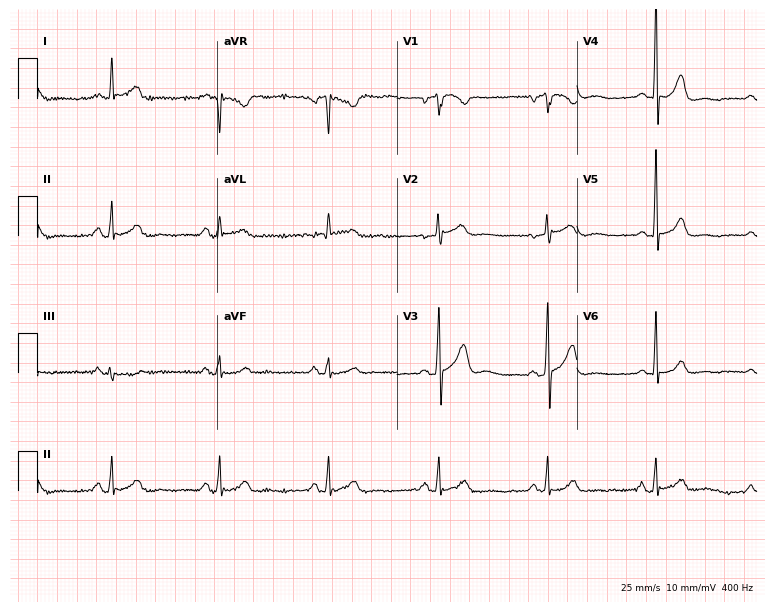
Resting 12-lead electrocardiogram. Patient: a 70-year-old man. Read as a normal ECG.